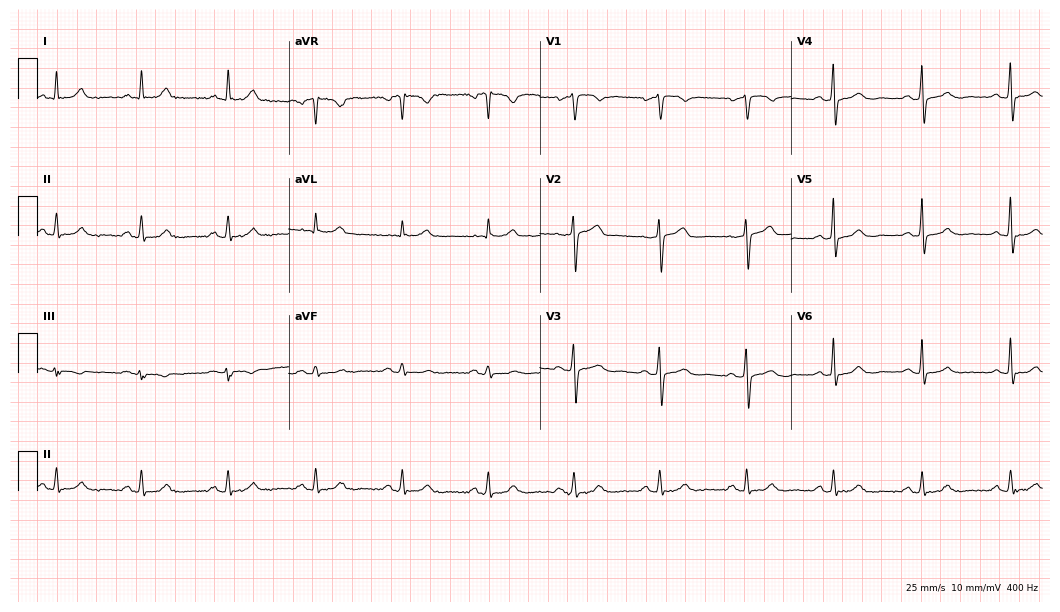
Standard 12-lead ECG recorded from a male patient, 62 years old (10.2-second recording at 400 Hz). Read as a normal ECG.